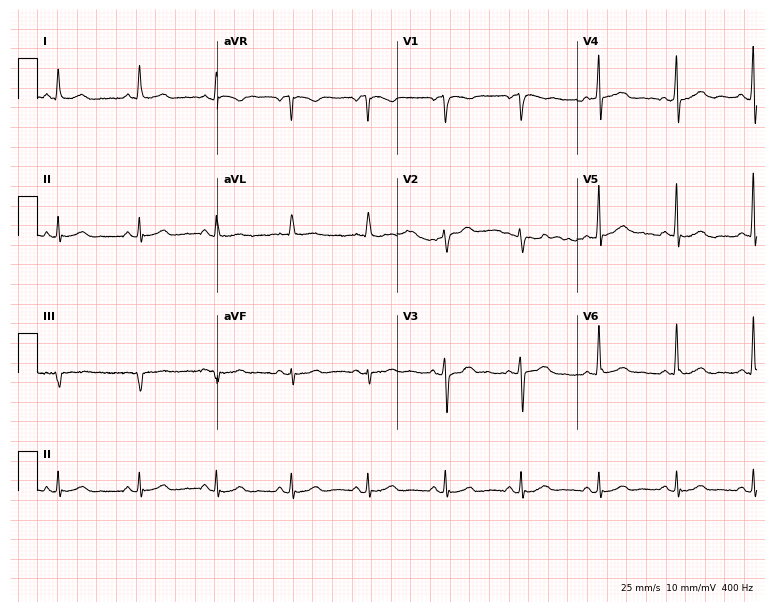
ECG (7.3-second recording at 400 Hz) — a man, 60 years old. Labelled as a normal ECG.